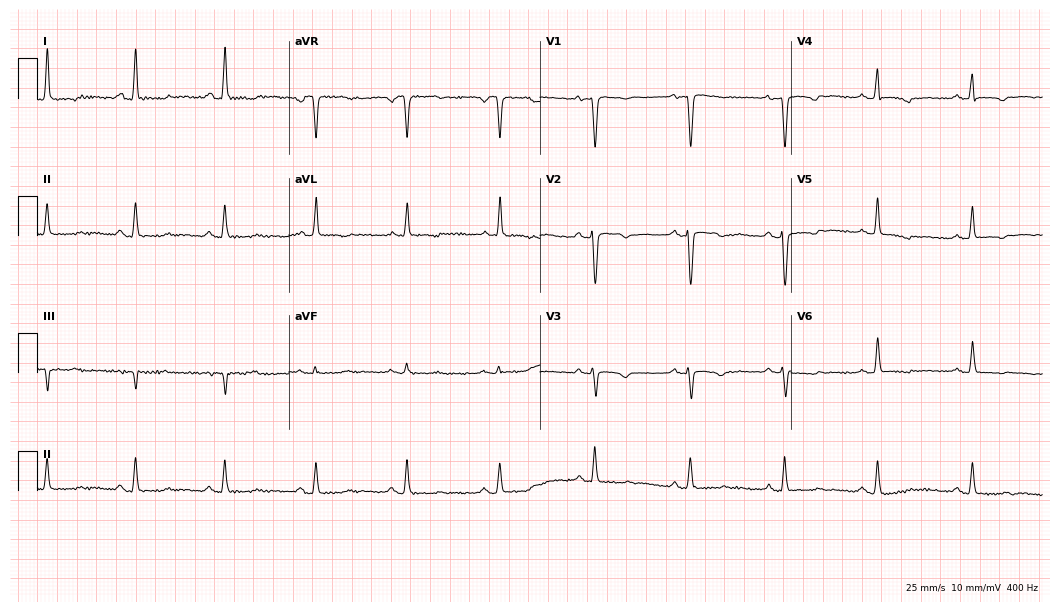
12-lead ECG from a 66-year-old female patient. Screened for six findings — first-degree AV block, right bundle branch block, left bundle branch block, sinus bradycardia, atrial fibrillation, sinus tachycardia — none is recorded. Only these six findings were labelled.